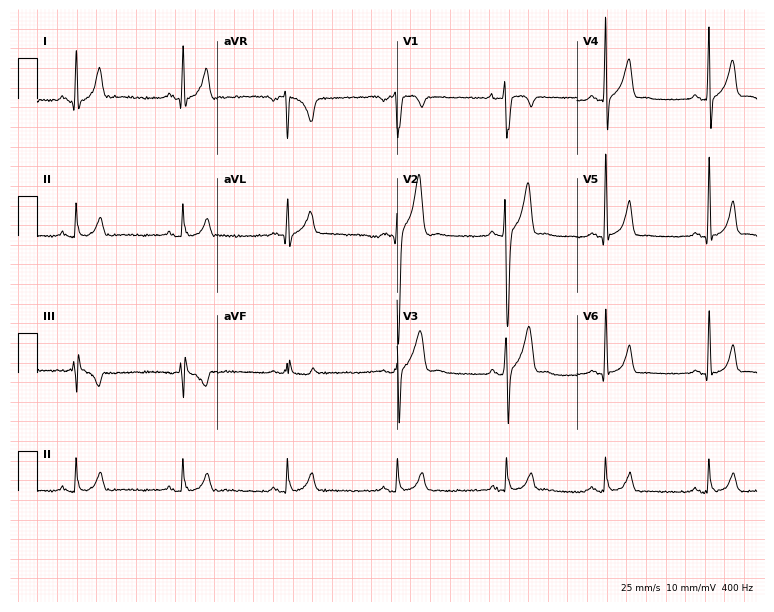
Standard 12-lead ECG recorded from a 31-year-old male patient (7.3-second recording at 400 Hz). None of these six findings is recorded: first-degree AV block, right bundle branch block, left bundle branch block, sinus bradycardia, atrial fibrillation, sinus tachycardia. Findings outside these six are not listed.